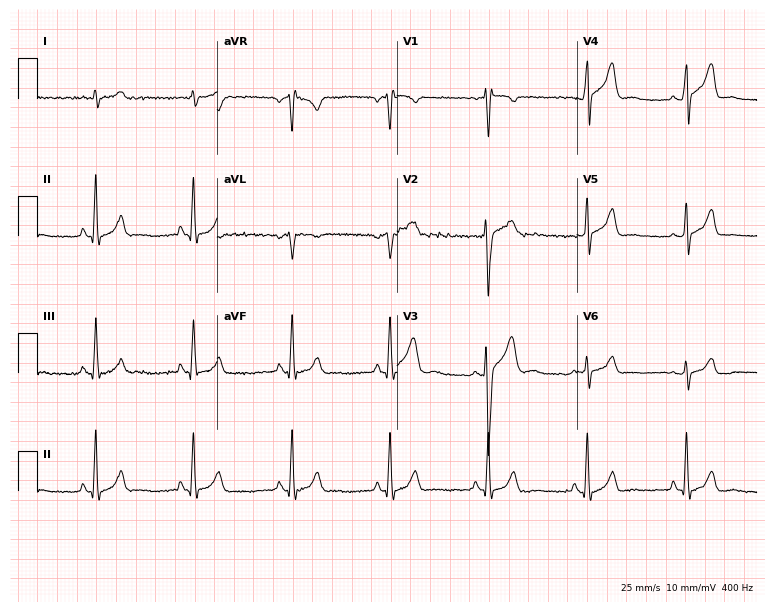
Electrocardiogram, a male, 25 years old. Of the six screened findings (first-degree AV block, right bundle branch block, left bundle branch block, sinus bradycardia, atrial fibrillation, sinus tachycardia), none is recorded. Only these six findings were labelled.